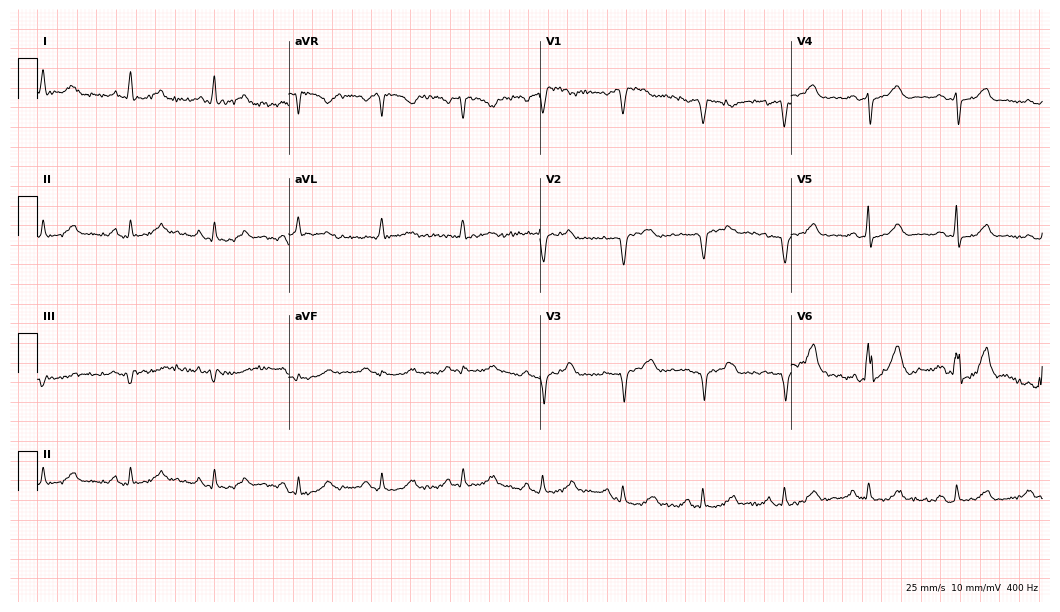
Electrocardiogram, a 55-year-old female. Of the six screened findings (first-degree AV block, right bundle branch block (RBBB), left bundle branch block (LBBB), sinus bradycardia, atrial fibrillation (AF), sinus tachycardia), none is recorded.